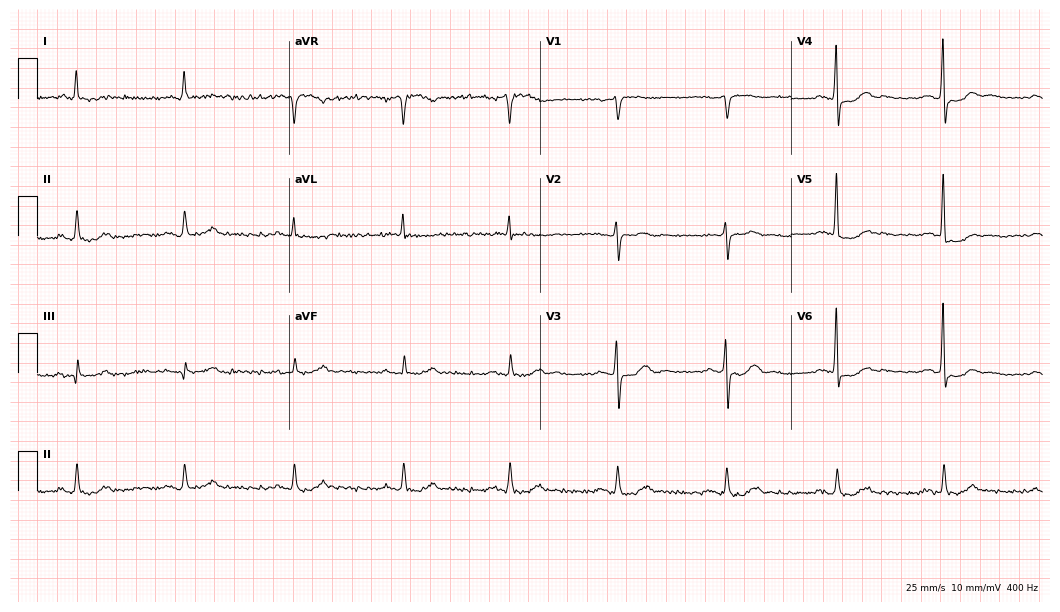
12-lead ECG from a 71-year-old man (10.2-second recording at 400 Hz). No first-degree AV block, right bundle branch block, left bundle branch block, sinus bradycardia, atrial fibrillation or sinus tachycardia recorded for this tracing.